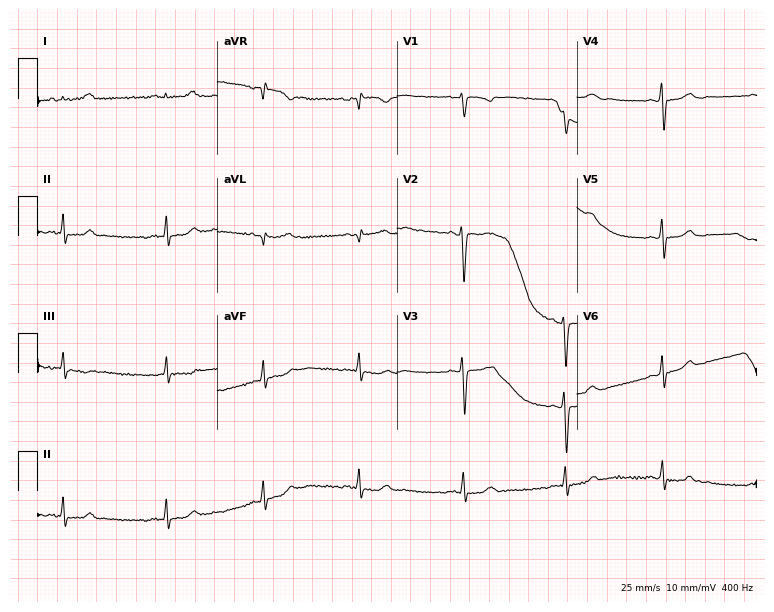
12-lead ECG from a female patient, 20 years old. No first-degree AV block, right bundle branch block (RBBB), left bundle branch block (LBBB), sinus bradycardia, atrial fibrillation (AF) or sinus tachycardia recorded for this tracing.